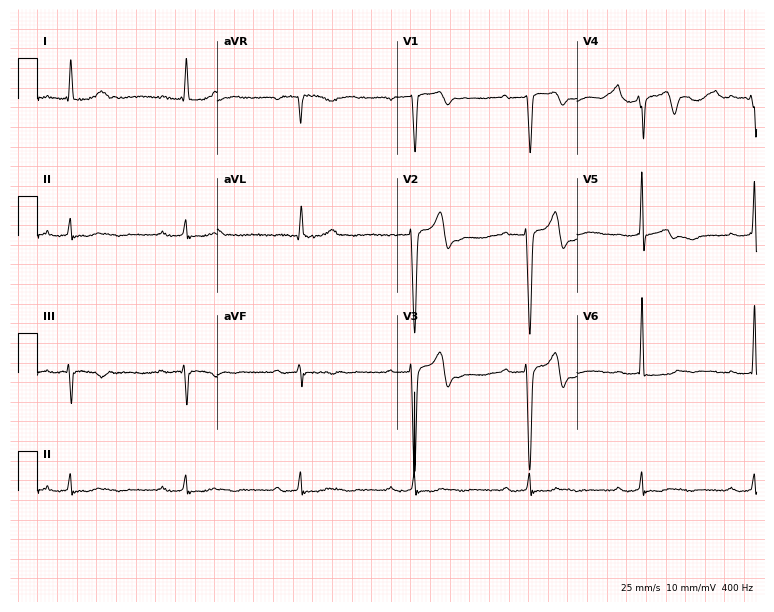
Resting 12-lead electrocardiogram (7.3-second recording at 400 Hz). Patient: a 71-year-old male. The tracing shows first-degree AV block.